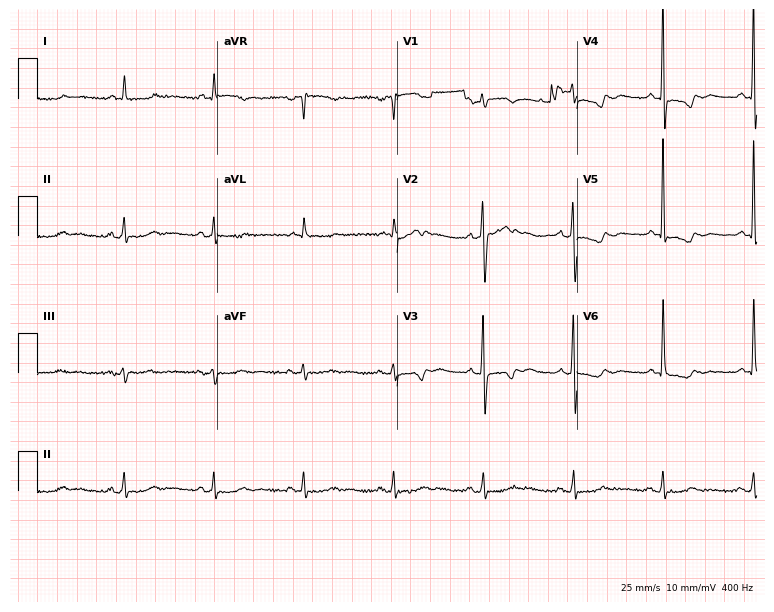
Resting 12-lead electrocardiogram. Patient: an 83-year-old female. None of these six findings is recorded: first-degree AV block, right bundle branch block, left bundle branch block, sinus bradycardia, atrial fibrillation, sinus tachycardia. Findings outside these six are not listed.